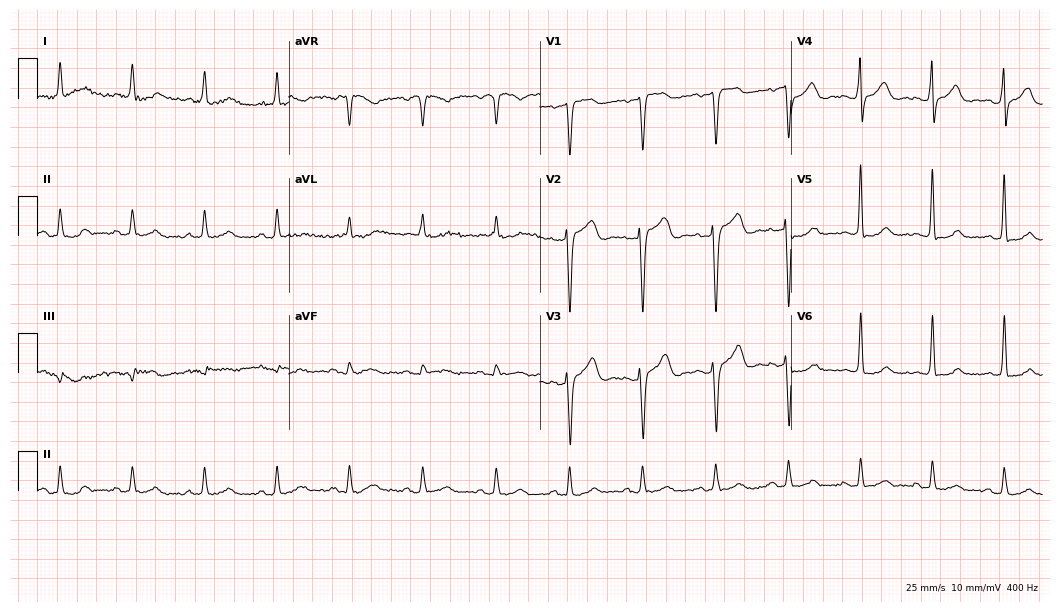
Resting 12-lead electrocardiogram (10.2-second recording at 400 Hz). Patient: a male, 80 years old. None of these six findings is recorded: first-degree AV block, right bundle branch block, left bundle branch block, sinus bradycardia, atrial fibrillation, sinus tachycardia.